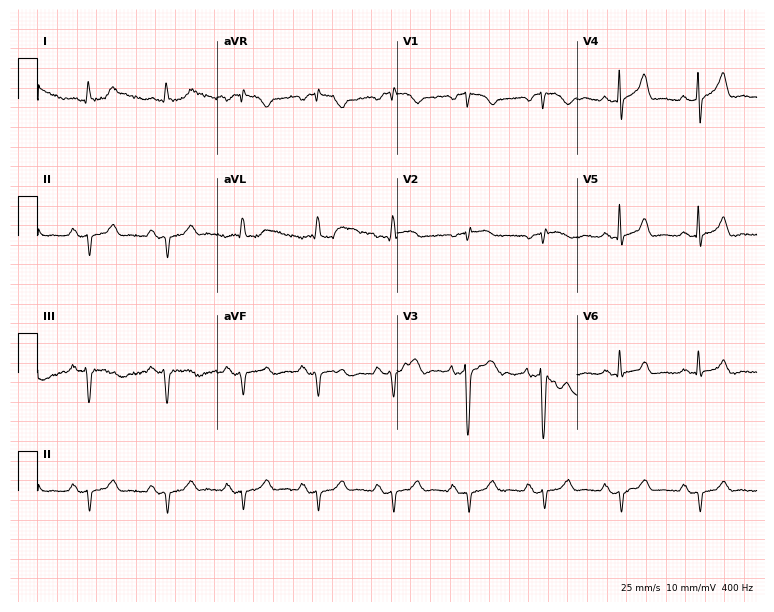
Resting 12-lead electrocardiogram. Patient: a 65-year-old man. None of these six findings is recorded: first-degree AV block, right bundle branch block (RBBB), left bundle branch block (LBBB), sinus bradycardia, atrial fibrillation (AF), sinus tachycardia.